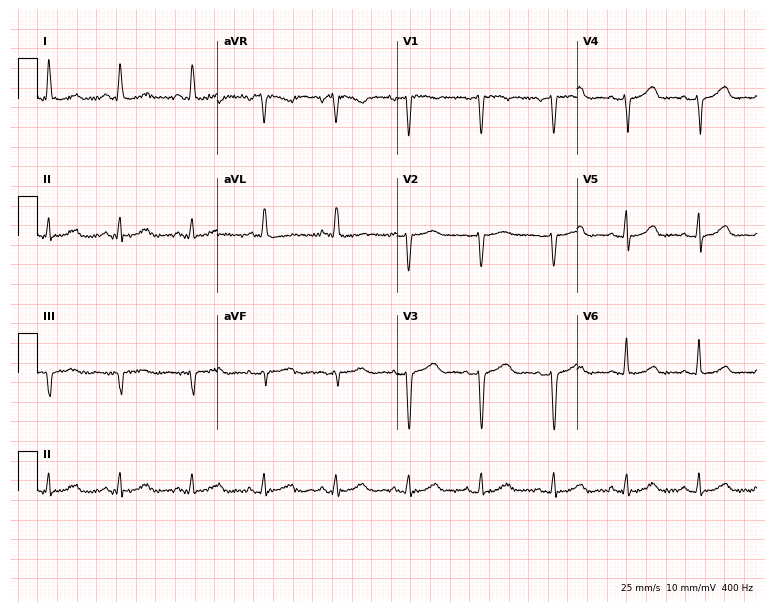
12-lead ECG from a female, 66 years old. Labelled as a normal ECG.